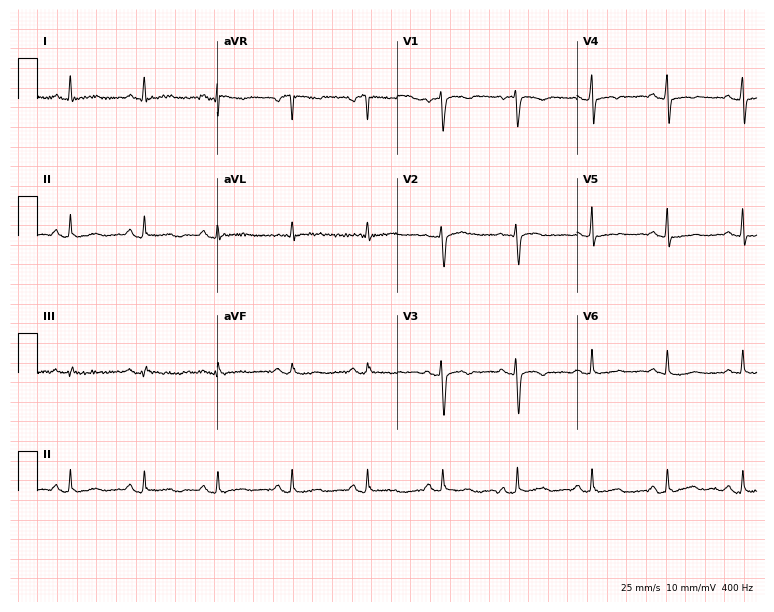
12-lead ECG (7.3-second recording at 400 Hz) from a female, 60 years old. Screened for six findings — first-degree AV block, right bundle branch block, left bundle branch block, sinus bradycardia, atrial fibrillation, sinus tachycardia — none is recorded.